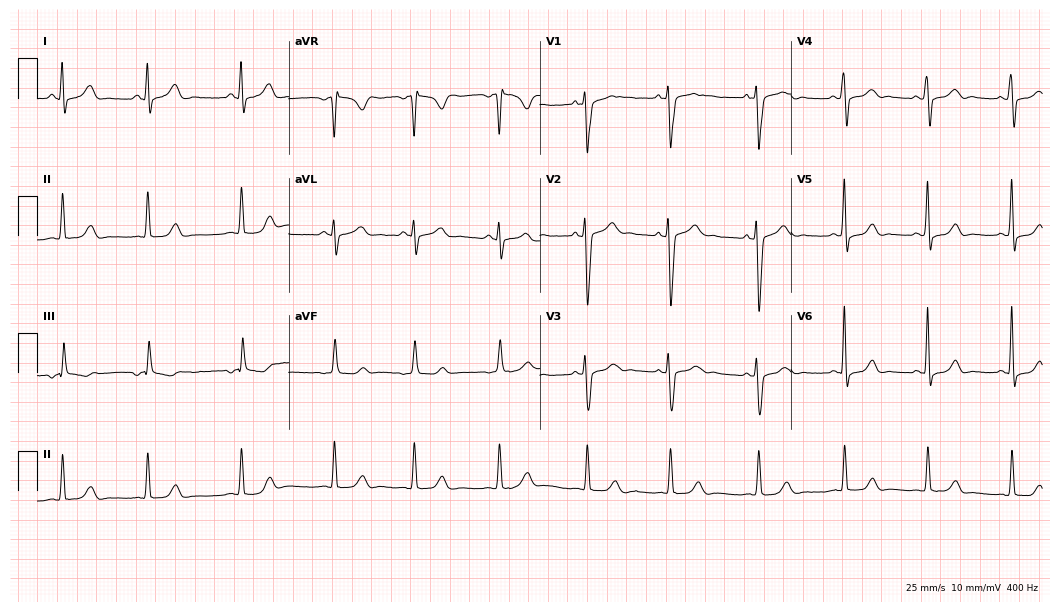
Standard 12-lead ECG recorded from a male patient, 27 years old. Read as a normal ECG.